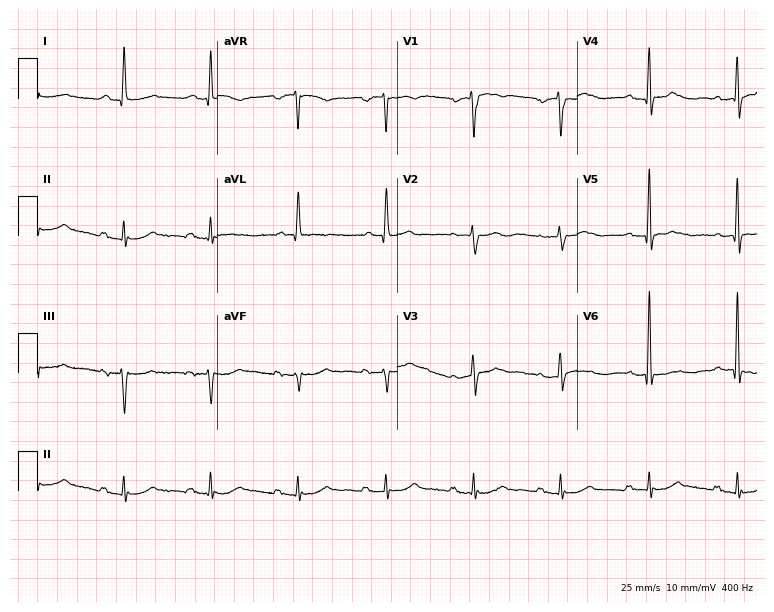
Resting 12-lead electrocardiogram (7.3-second recording at 400 Hz). Patient: a male, 80 years old. The tracing shows first-degree AV block.